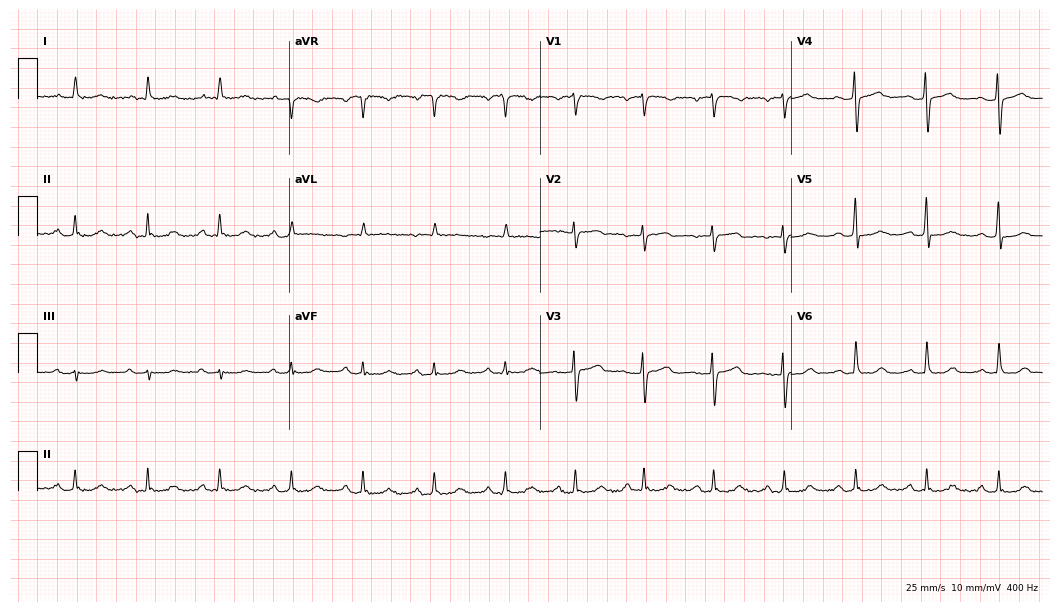
Electrocardiogram, a female, 57 years old. Of the six screened findings (first-degree AV block, right bundle branch block, left bundle branch block, sinus bradycardia, atrial fibrillation, sinus tachycardia), none is recorded. Other findings, if any, are not listed.